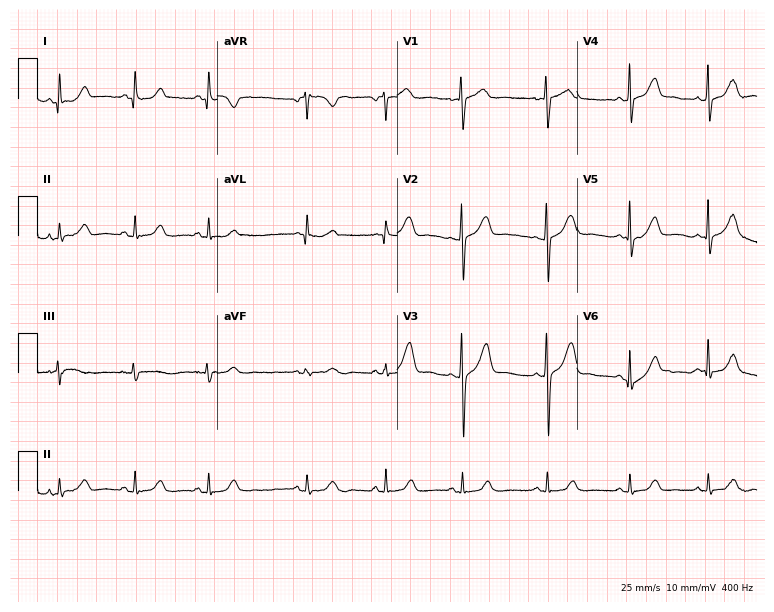
Standard 12-lead ECG recorded from a 25-year-old female patient (7.3-second recording at 400 Hz). None of these six findings is recorded: first-degree AV block, right bundle branch block (RBBB), left bundle branch block (LBBB), sinus bradycardia, atrial fibrillation (AF), sinus tachycardia.